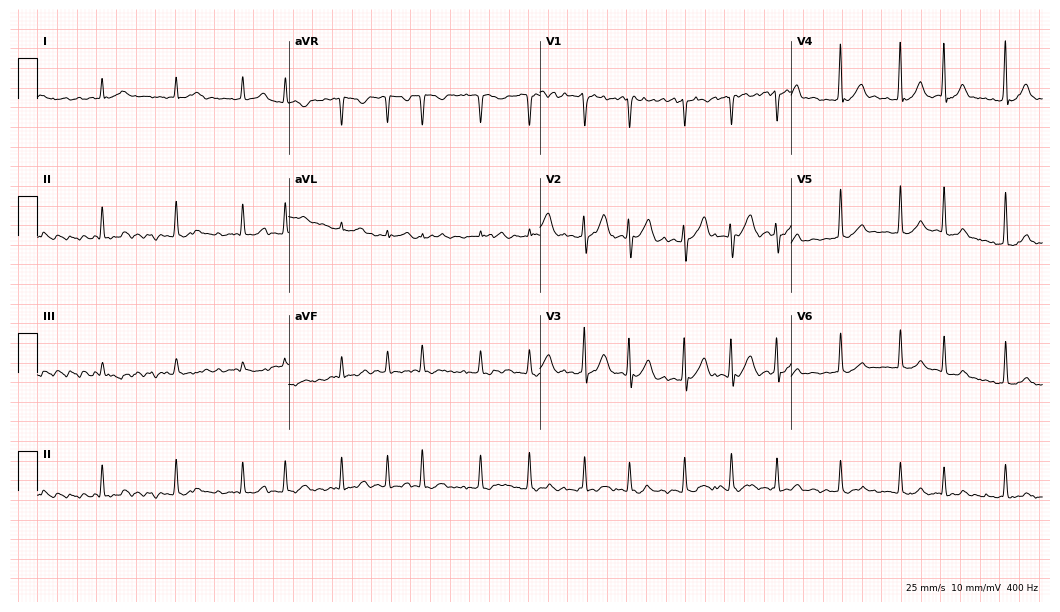
12-lead ECG from a 56-year-old male. Shows atrial fibrillation.